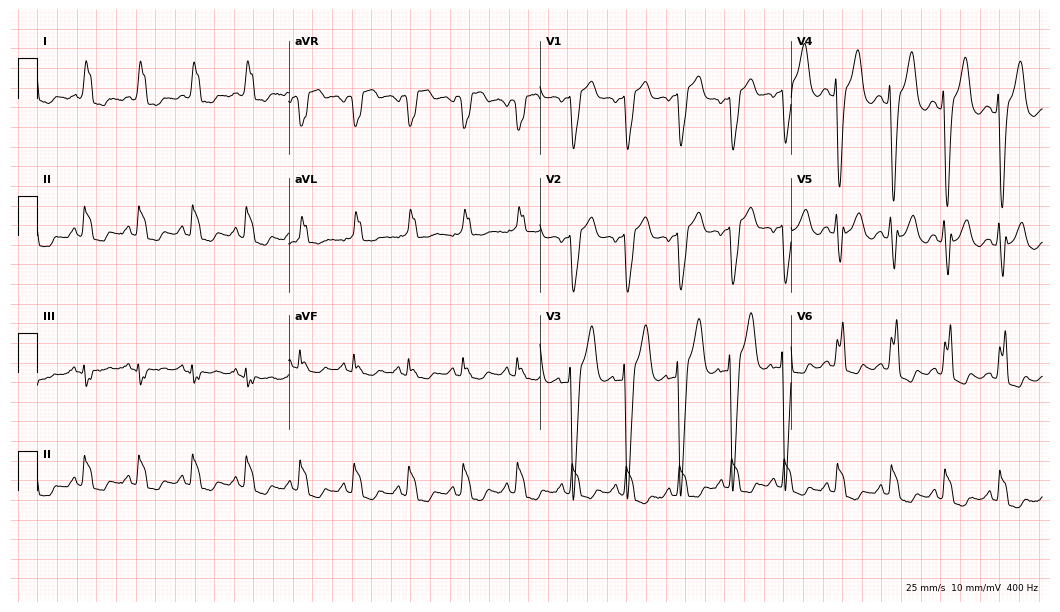
Resting 12-lead electrocardiogram (10.2-second recording at 400 Hz). Patient: a female, 71 years old. The tracing shows left bundle branch block (LBBB), sinus tachycardia (a sinus rate of 100 beats per minute or more).